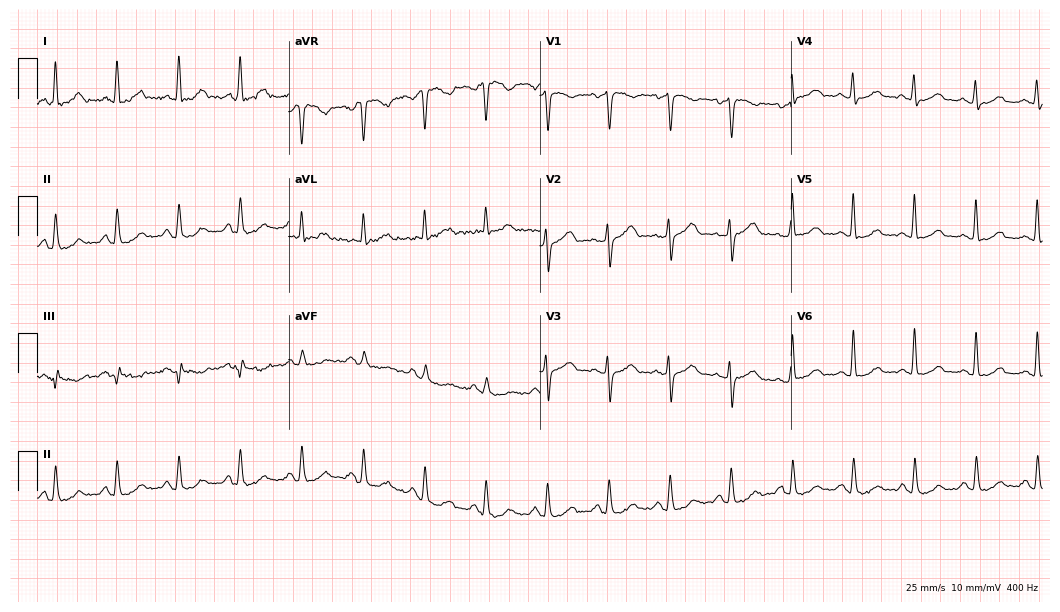
12-lead ECG from a 48-year-old woman. Labelled as a normal ECG.